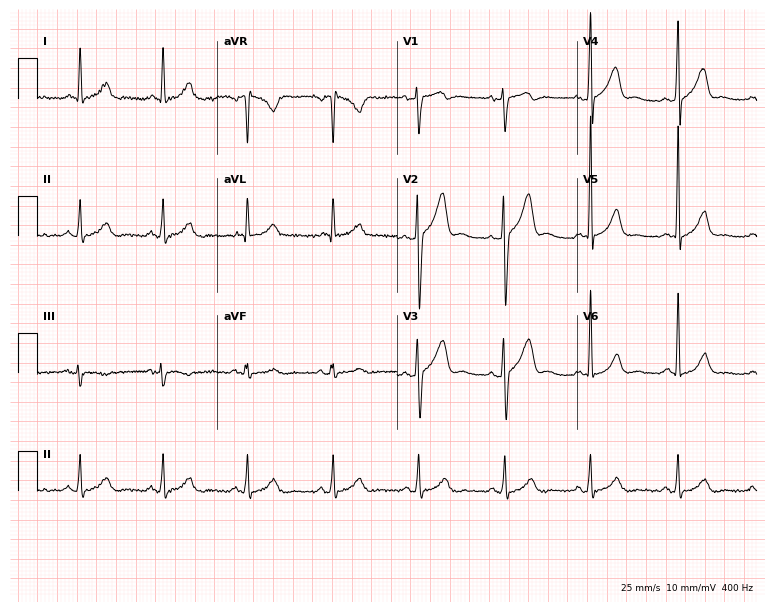
Standard 12-lead ECG recorded from a 58-year-old male. None of these six findings is recorded: first-degree AV block, right bundle branch block, left bundle branch block, sinus bradycardia, atrial fibrillation, sinus tachycardia. Only these six findings were labelled.